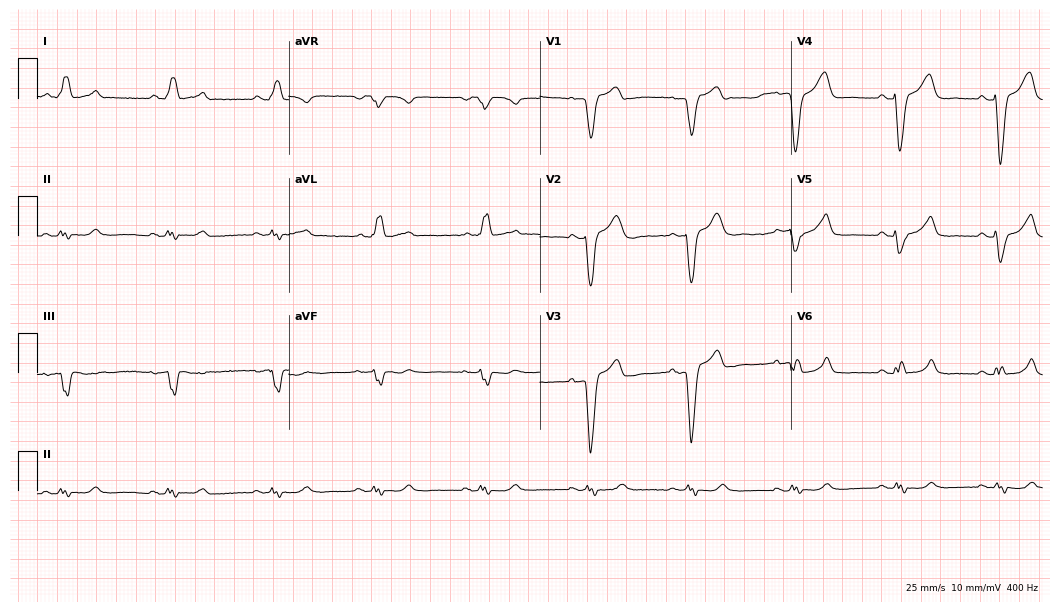
Resting 12-lead electrocardiogram. Patient: a 79-year-old male. The tracing shows left bundle branch block (LBBB).